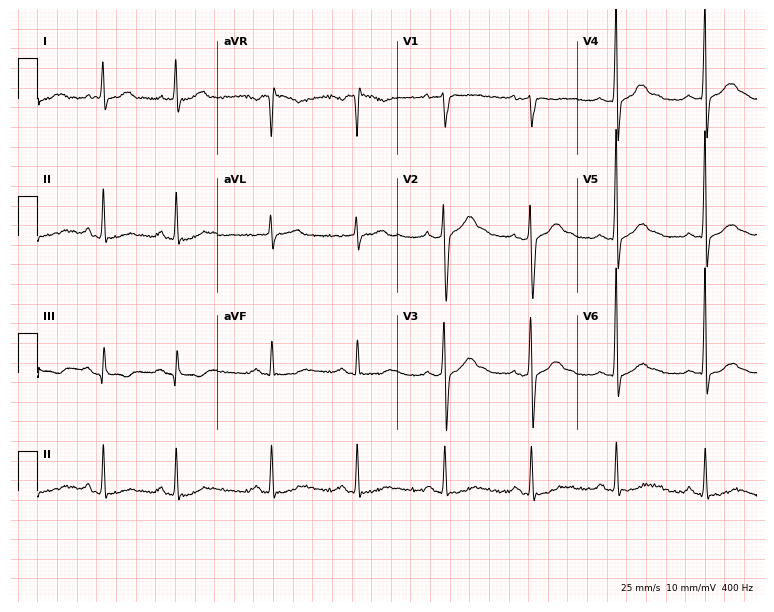
Resting 12-lead electrocardiogram (7.3-second recording at 400 Hz). Patient: a 38-year-old male. None of these six findings is recorded: first-degree AV block, right bundle branch block, left bundle branch block, sinus bradycardia, atrial fibrillation, sinus tachycardia. Only these six findings were labelled.